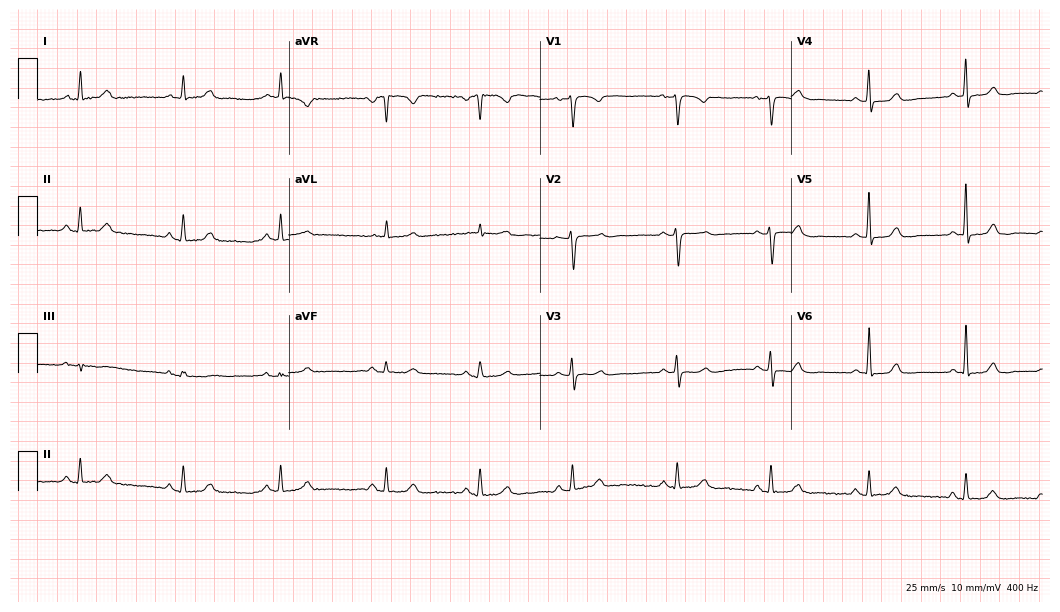
Resting 12-lead electrocardiogram (10.2-second recording at 400 Hz). Patient: a 52-year-old female. Read as a normal ECG.